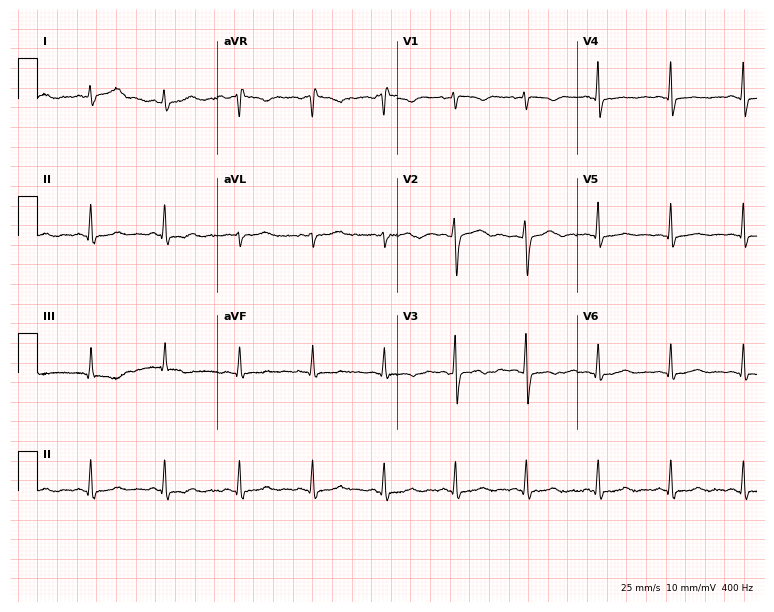
12-lead ECG from a 36-year-old female. Screened for six findings — first-degree AV block, right bundle branch block, left bundle branch block, sinus bradycardia, atrial fibrillation, sinus tachycardia — none is recorded.